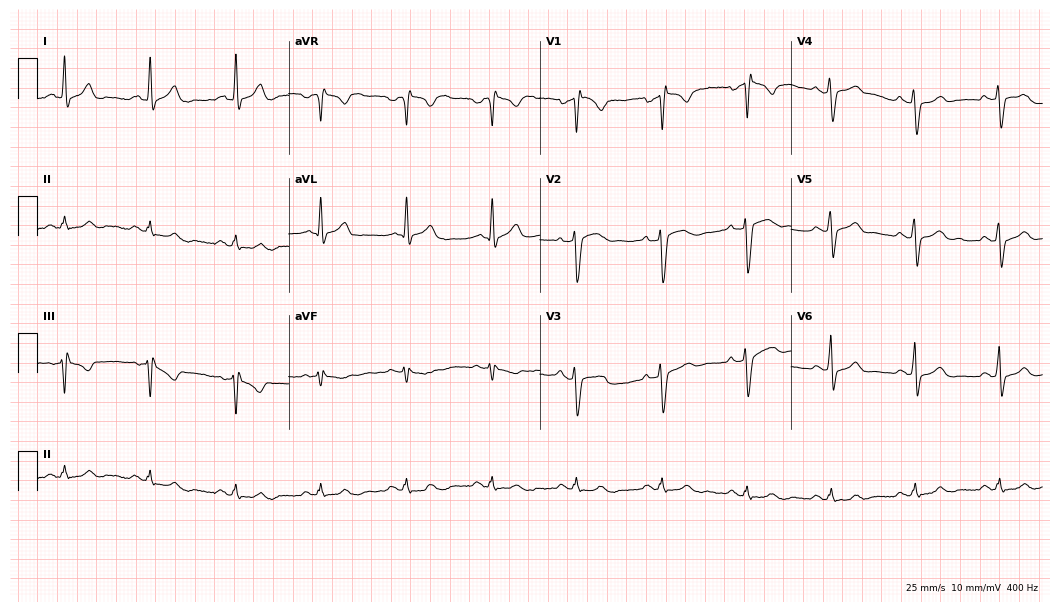
Electrocardiogram (10.2-second recording at 400 Hz), a male, 58 years old. Of the six screened findings (first-degree AV block, right bundle branch block (RBBB), left bundle branch block (LBBB), sinus bradycardia, atrial fibrillation (AF), sinus tachycardia), none is recorded.